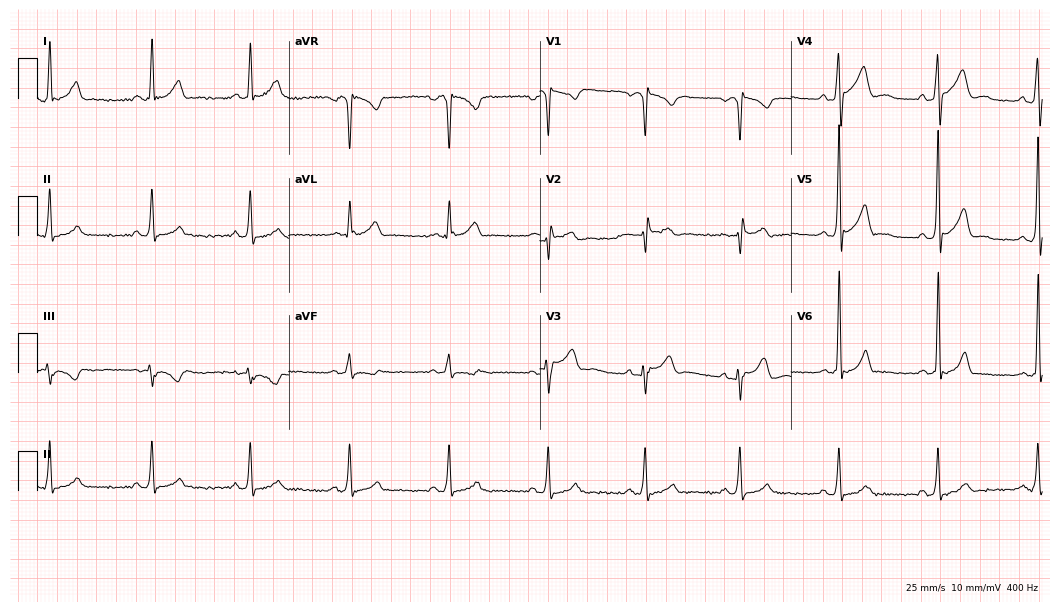
Standard 12-lead ECG recorded from a male patient, 35 years old. Read as a normal ECG.